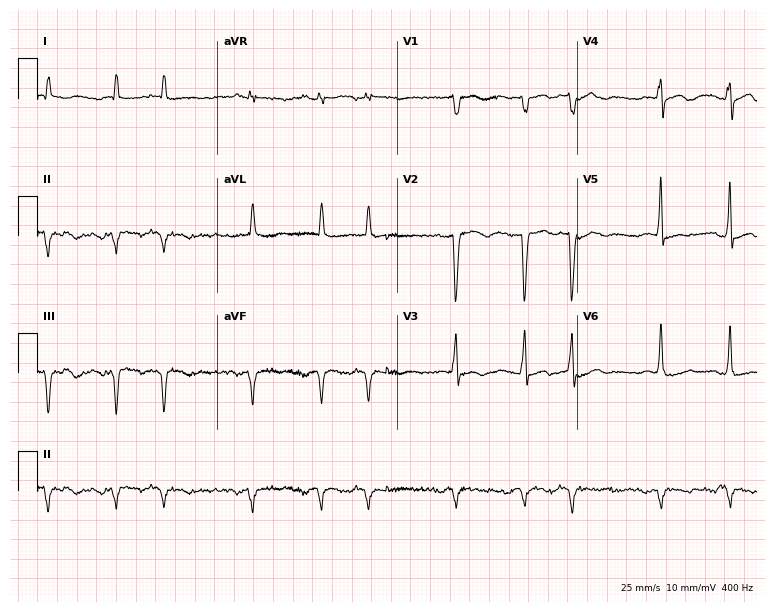
Electrocardiogram, a female patient, 84 years old. Of the six screened findings (first-degree AV block, right bundle branch block, left bundle branch block, sinus bradycardia, atrial fibrillation, sinus tachycardia), none is recorded.